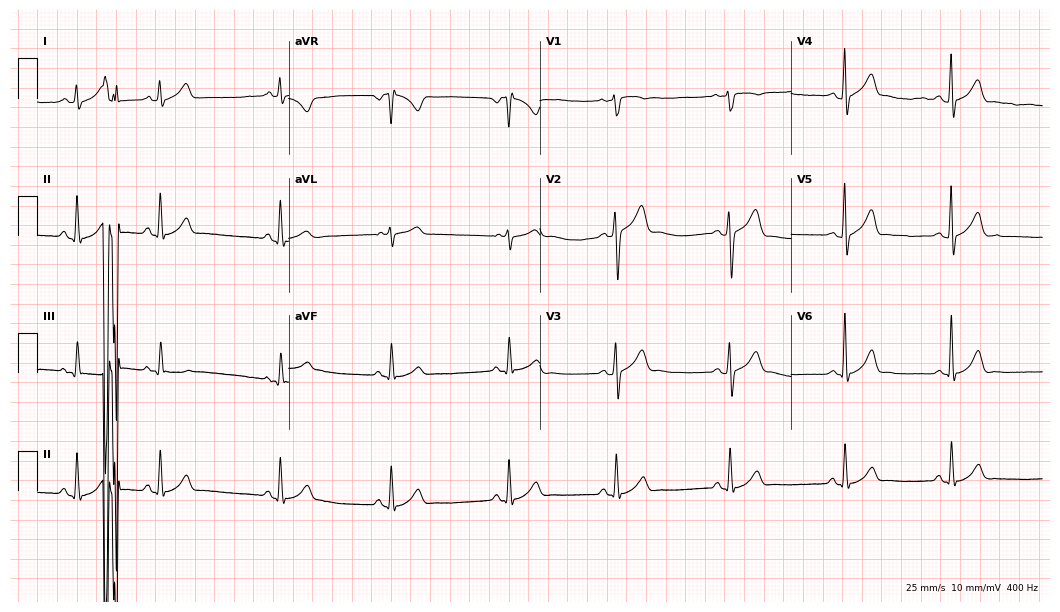
ECG (10.2-second recording at 400 Hz) — a 32-year-old man. Screened for six findings — first-degree AV block, right bundle branch block (RBBB), left bundle branch block (LBBB), sinus bradycardia, atrial fibrillation (AF), sinus tachycardia — none is recorded.